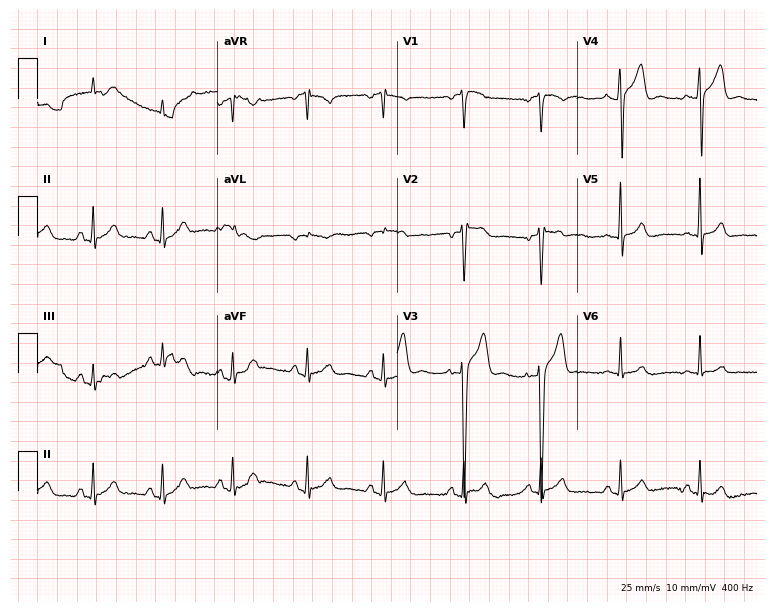
ECG (7.3-second recording at 400 Hz) — a 26-year-old male. Labelled as a normal ECG.